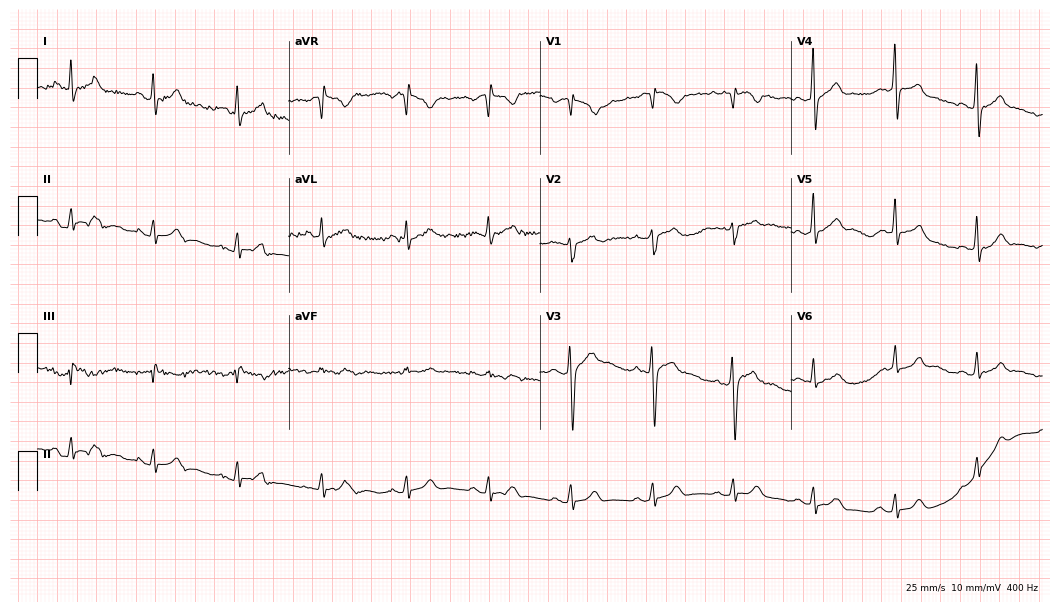
Electrocardiogram (10.2-second recording at 400 Hz), a 27-year-old man. Overall reading on record: normal ECG.